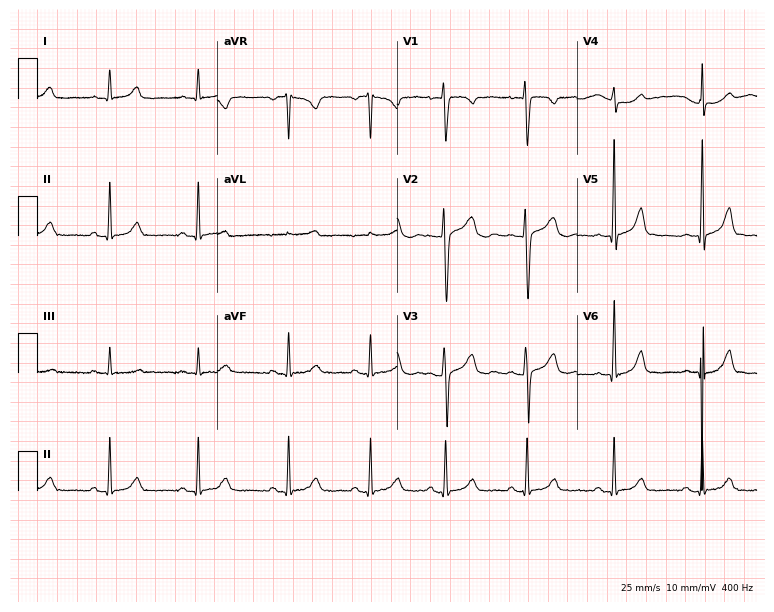
Standard 12-lead ECG recorded from a female patient, 40 years old (7.3-second recording at 400 Hz). None of these six findings is recorded: first-degree AV block, right bundle branch block (RBBB), left bundle branch block (LBBB), sinus bradycardia, atrial fibrillation (AF), sinus tachycardia. Other findings, if any, are not listed.